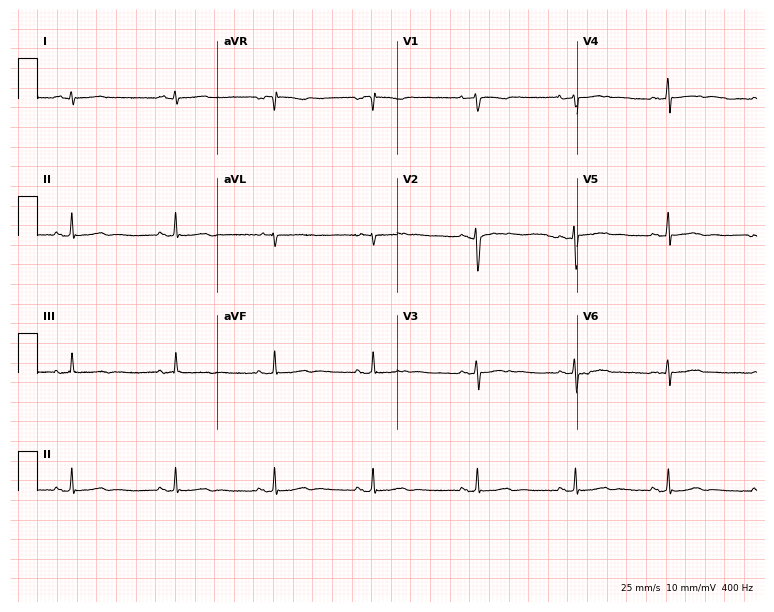
ECG (7.3-second recording at 400 Hz) — a woman, 28 years old. Screened for six findings — first-degree AV block, right bundle branch block, left bundle branch block, sinus bradycardia, atrial fibrillation, sinus tachycardia — none is recorded.